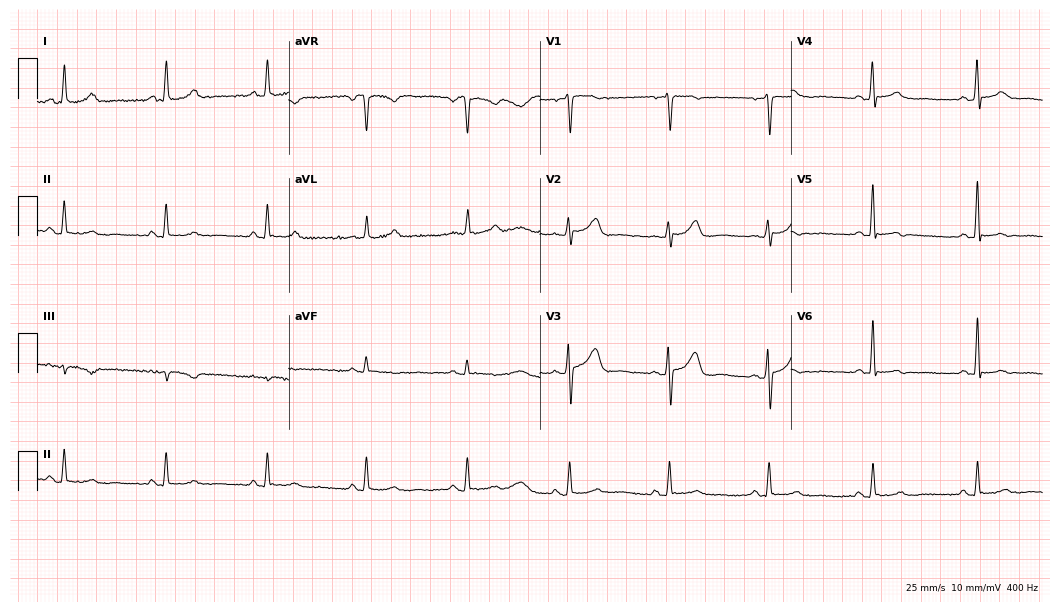
Standard 12-lead ECG recorded from a female, 44 years old. None of these six findings is recorded: first-degree AV block, right bundle branch block, left bundle branch block, sinus bradycardia, atrial fibrillation, sinus tachycardia. Only these six findings were labelled.